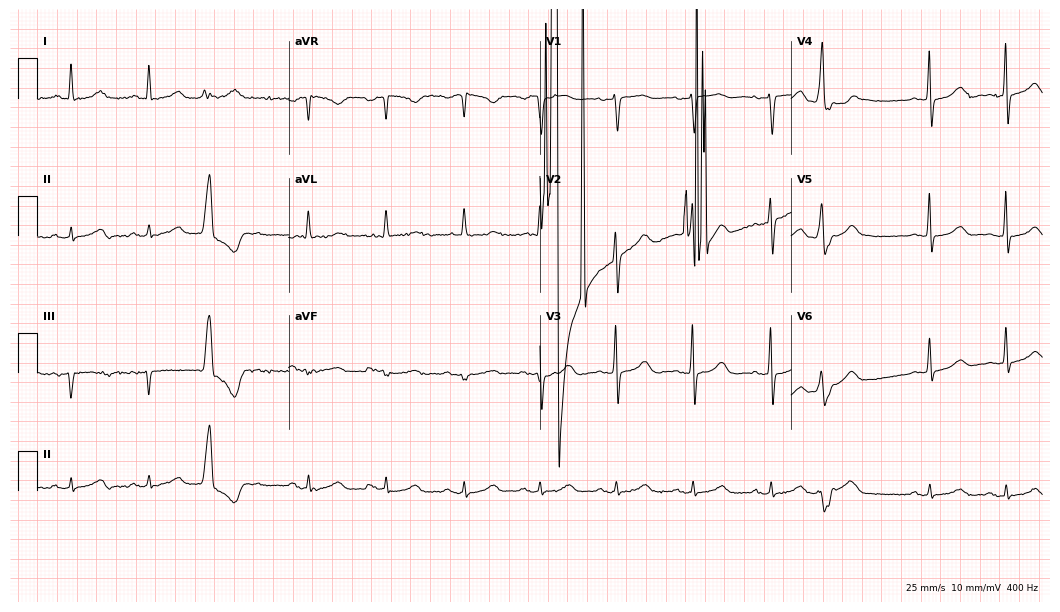
Electrocardiogram (10.2-second recording at 400 Hz), a female, 78 years old. Of the six screened findings (first-degree AV block, right bundle branch block, left bundle branch block, sinus bradycardia, atrial fibrillation, sinus tachycardia), none is recorded. Other findings, if any, are not listed.